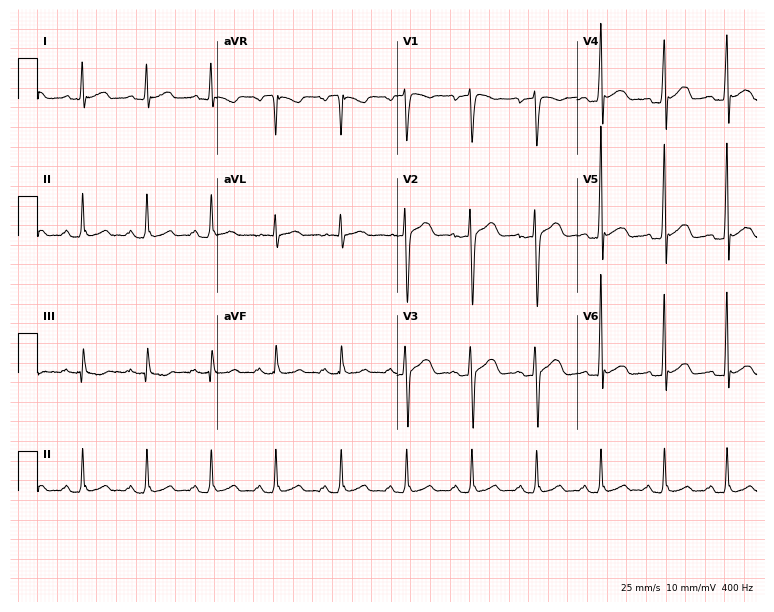
Standard 12-lead ECG recorded from a male patient, 33 years old. Read as a normal ECG.